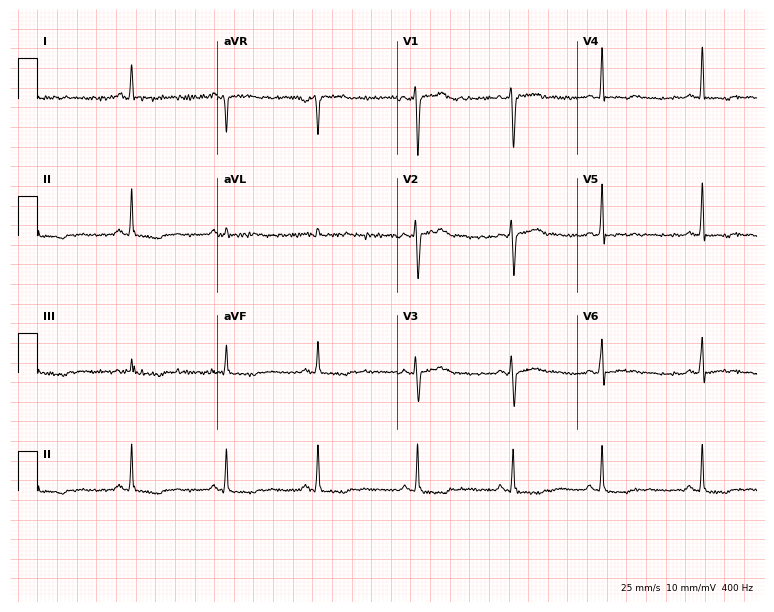
ECG — a female, 39 years old. Screened for six findings — first-degree AV block, right bundle branch block, left bundle branch block, sinus bradycardia, atrial fibrillation, sinus tachycardia — none is recorded. Only these six findings were labelled.